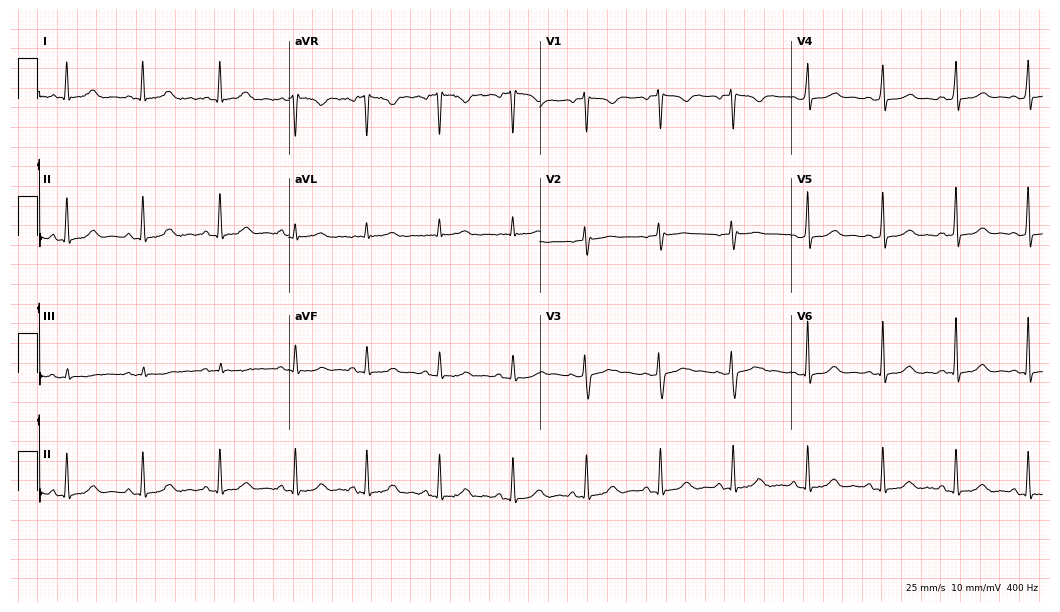
12-lead ECG from a female, 37 years old. Labelled as a normal ECG.